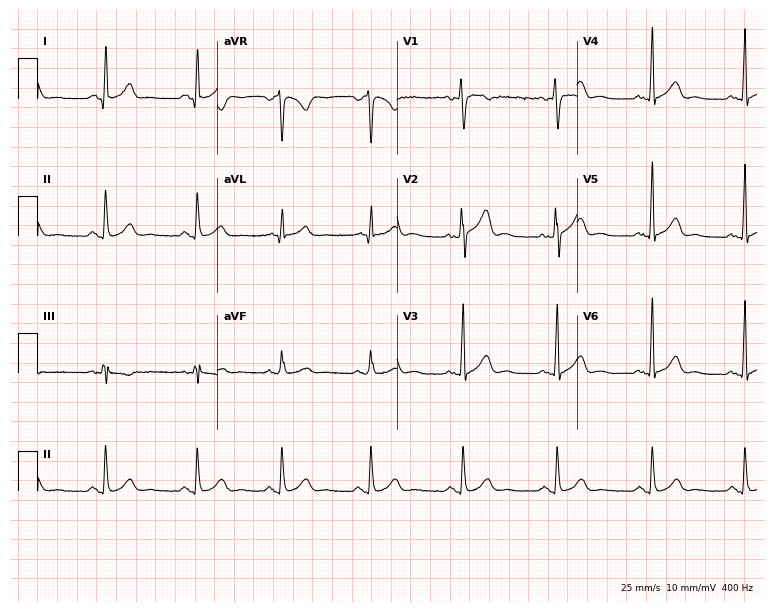
ECG — a 43-year-old man. Labelled as a normal ECG.